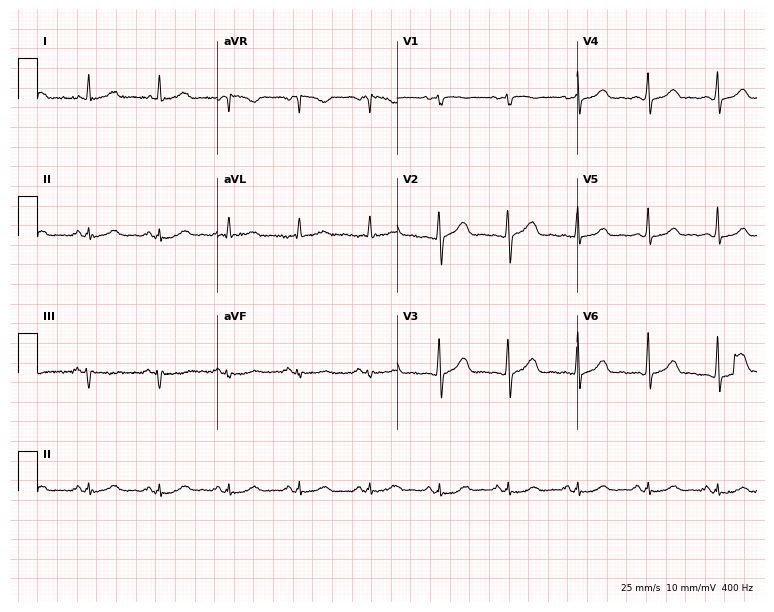
Standard 12-lead ECG recorded from a 52-year-old female. Read as a normal ECG.